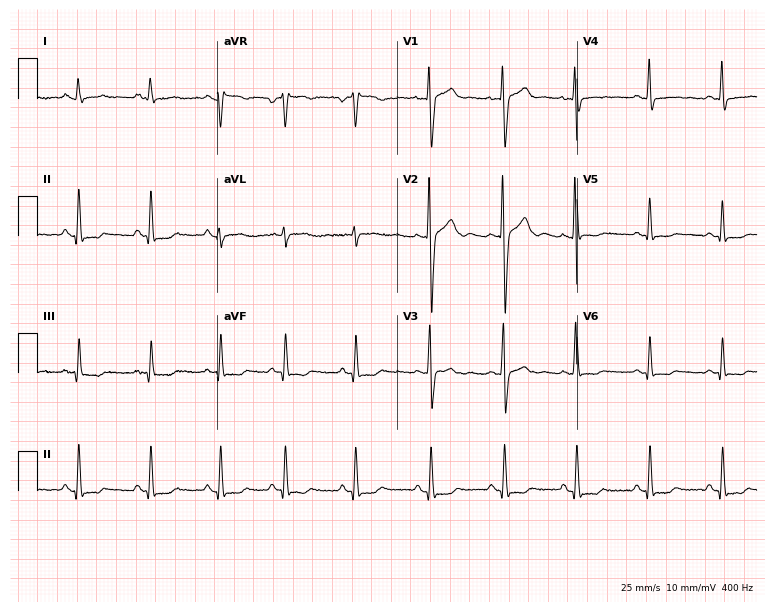
Electrocardiogram, a female, 17 years old. Of the six screened findings (first-degree AV block, right bundle branch block, left bundle branch block, sinus bradycardia, atrial fibrillation, sinus tachycardia), none is recorded. Other findings, if any, are not listed.